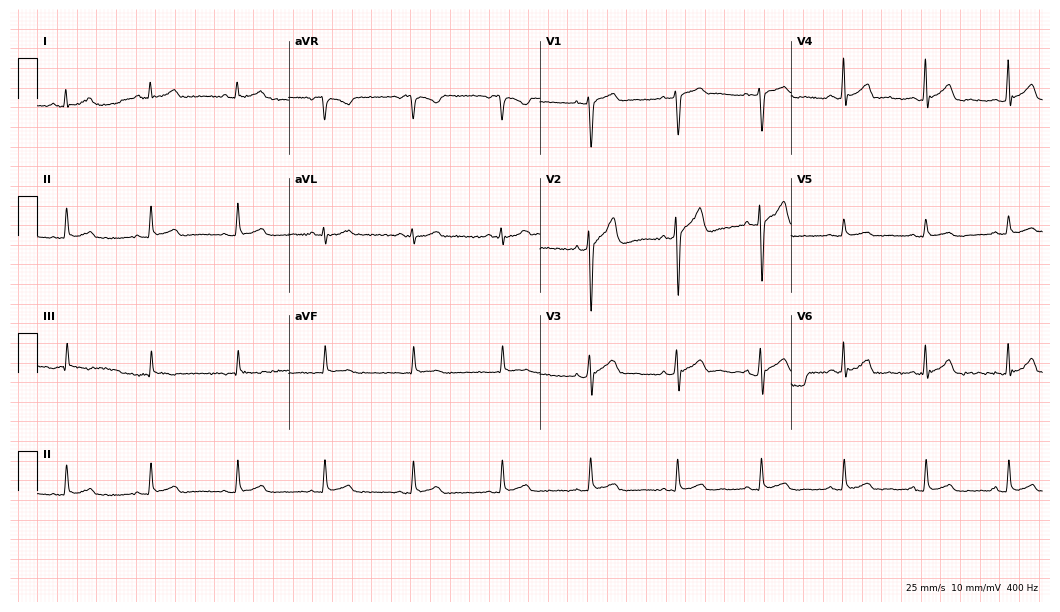
ECG — a man, 35 years old. Labelled as a normal ECG.